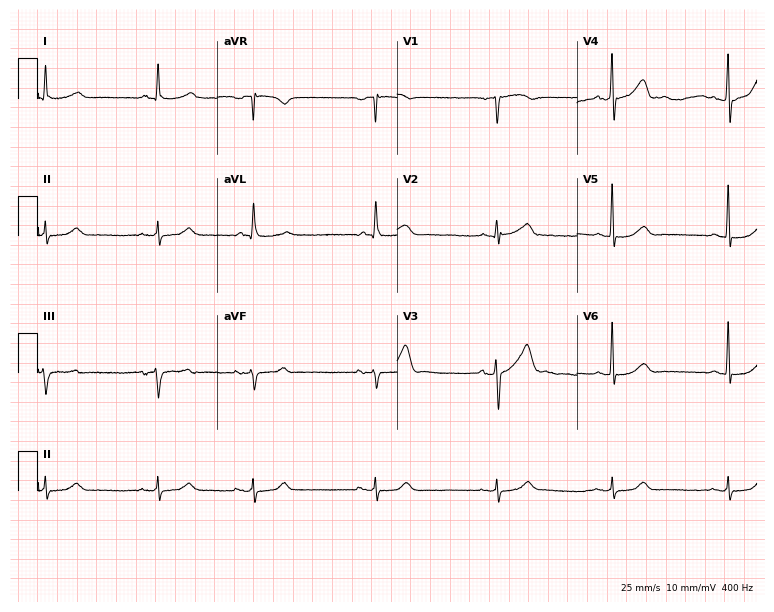
Standard 12-lead ECG recorded from an 82-year-old male (7.3-second recording at 400 Hz). Read as a normal ECG.